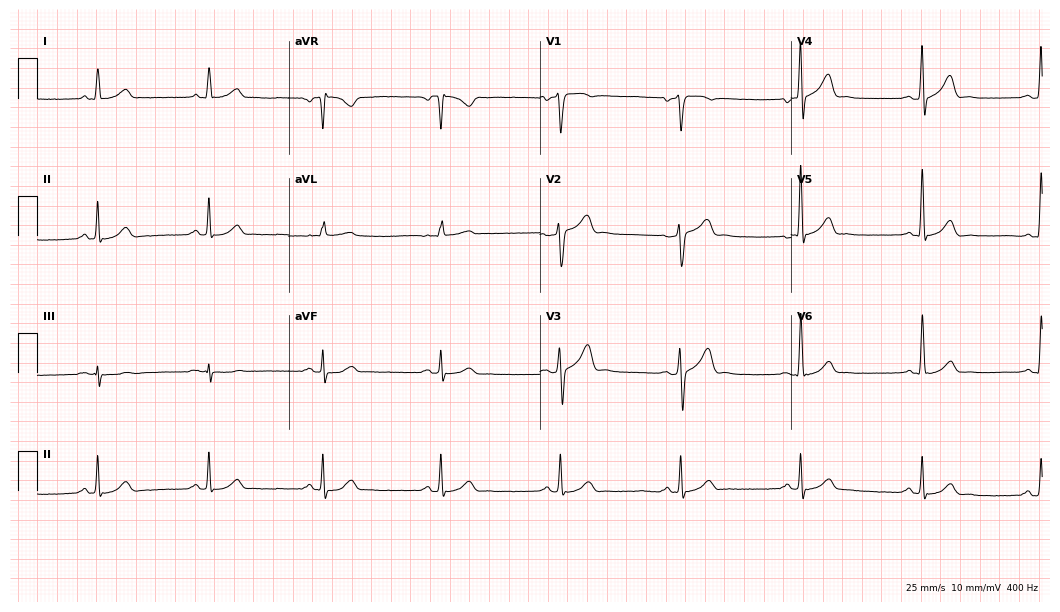
Standard 12-lead ECG recorded from a 57-year-old male patient (10.2-second recording at 400 Hz). Read as a normal ECG.